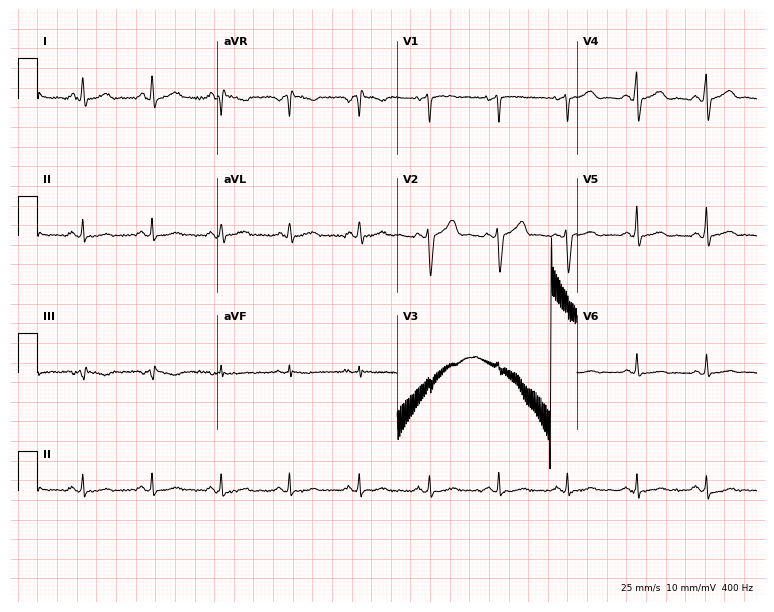
Standard 12-lead ECG recorded from a 61-year-old man. Read as a normal ECG.